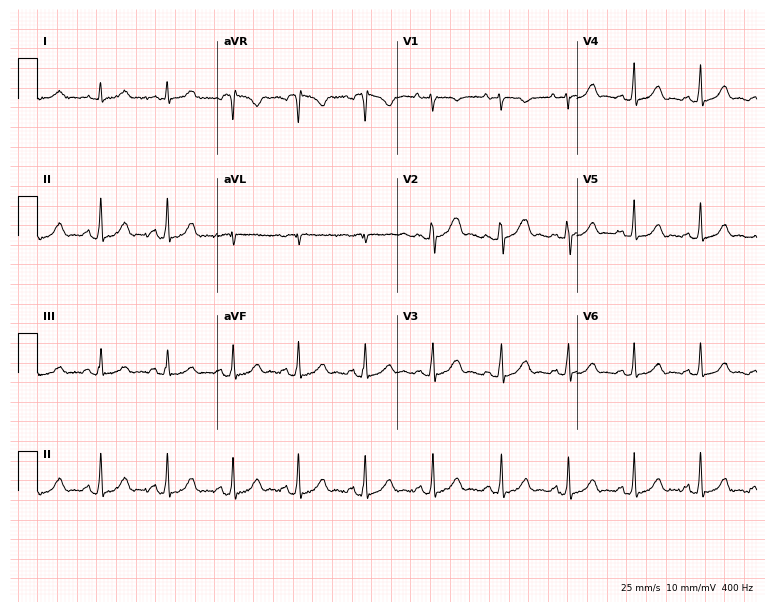
Standard 12-lead ECG recorded from a female, 37 years old (7.3-second recording at 400 Hz). Read as a normal ECG.